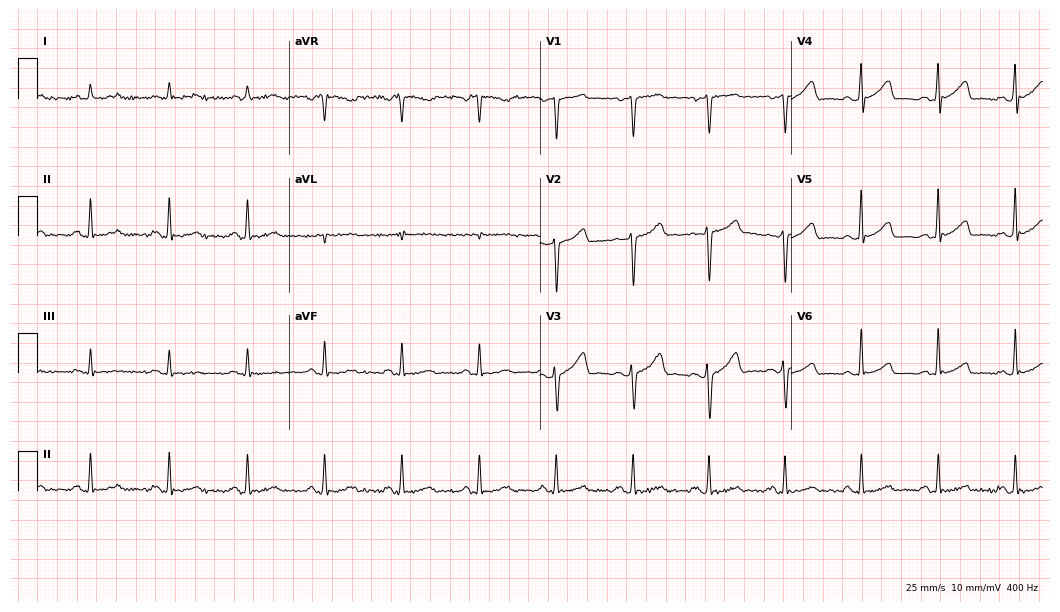
Standard 12-lead ECG recorded from a 47-year-old male (10.2-second recording at 400 Hz). Read as a normal ECG.